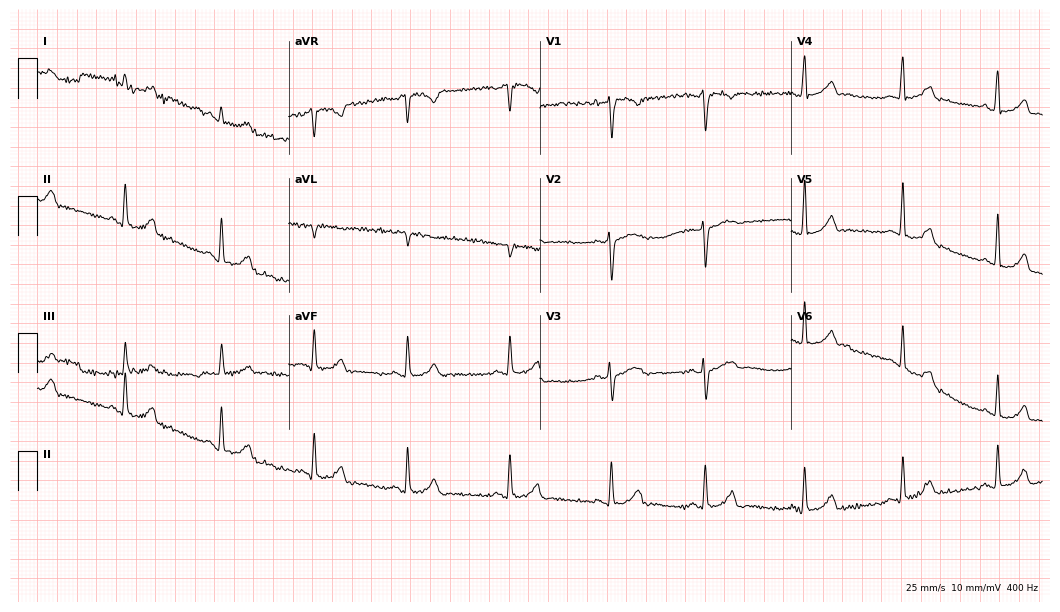
Electrocardiogram (10.2-second recording at 400 Hz), a woman, 32 years old. Of the six screened findings (first-degree AV block, right bundle branch block, left bundle branch block, sinus bradycardia, atrial fibrillation, sinus tachycardia), none is recorded.